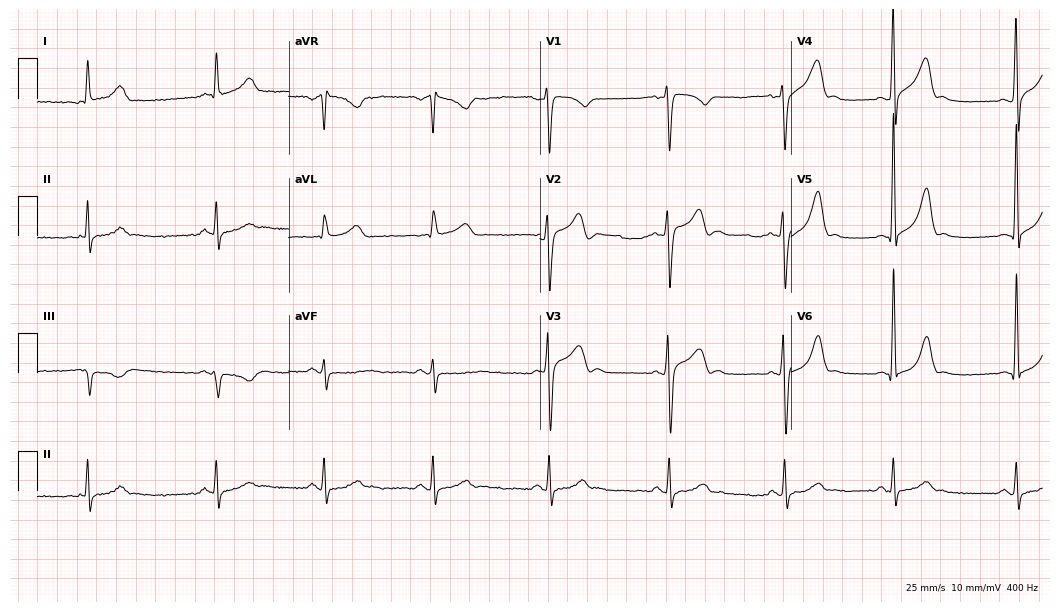
12-lead ECG (10.2-second recording at 400 Hz) from a male, 38 years old. Screened for six findings — first-degree AV block, right bundle branch block, left bundle branch block, sinus bradycardia, atrial fibrillation, sinus tachycardia — none is recorded. Only these six findings were labelled.